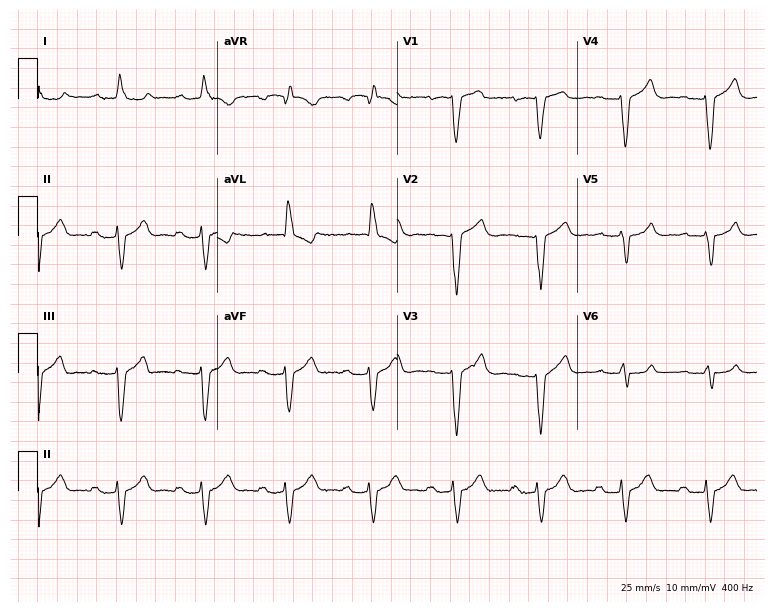
ECG (7.3-second recording at 400 Hz) — a female patient, 83 years old. Screened for six findings — first-degree AV block, right bundle branch block, left bundle branch block, sinus bradycardia, atrial fibrillation, sinus tachycardia — none is recorded.